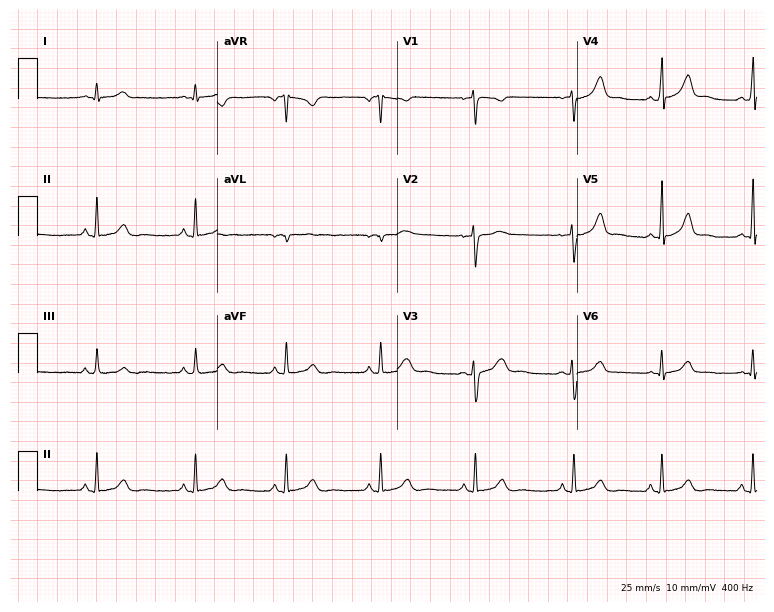
ECG (7.3-second recording at 400 Hz) — a 28-year-old female. Labelled as a normal ECG.